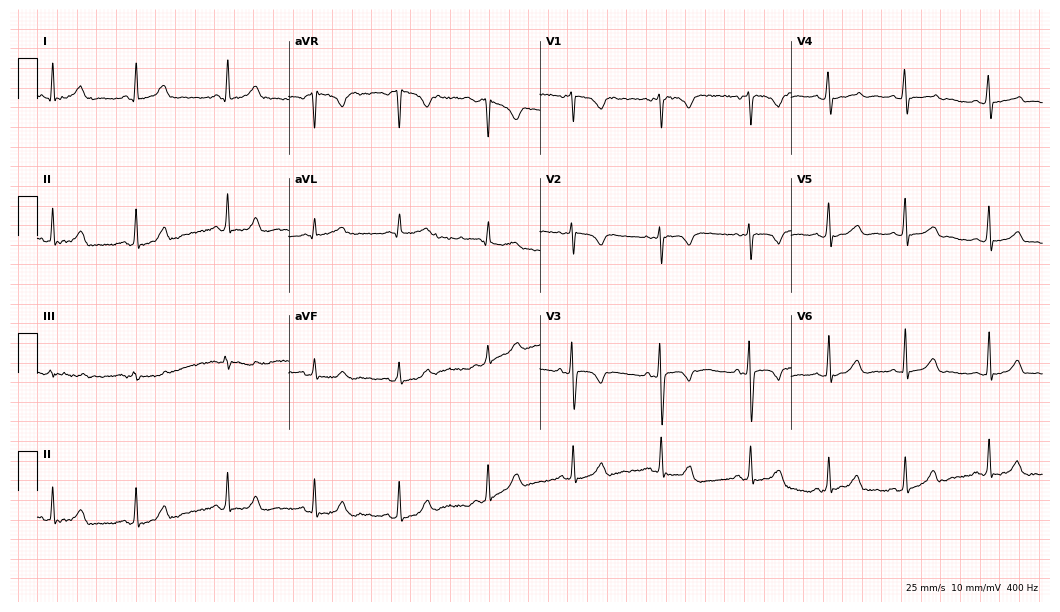
12-lead ECG from a female patient, 21 years old. Screened for six findings — first-degree AV block, right bundle branch block, left bundle branch block, sinus bradycardia, atrial fibrillation, sinus tachycardia — none is recorded.